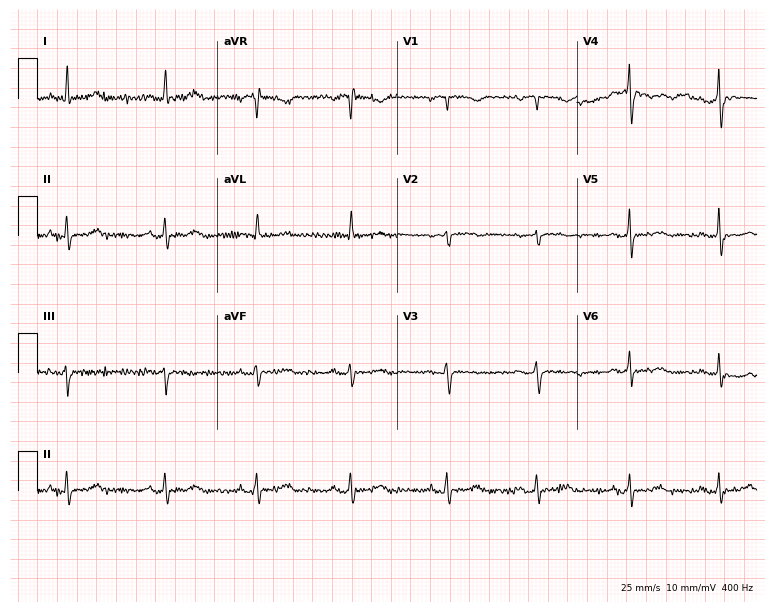
12-lead ECG (7.3-second recording at 400 Hz) from a female patient, 60 years old. Labelled as a normal ECG.